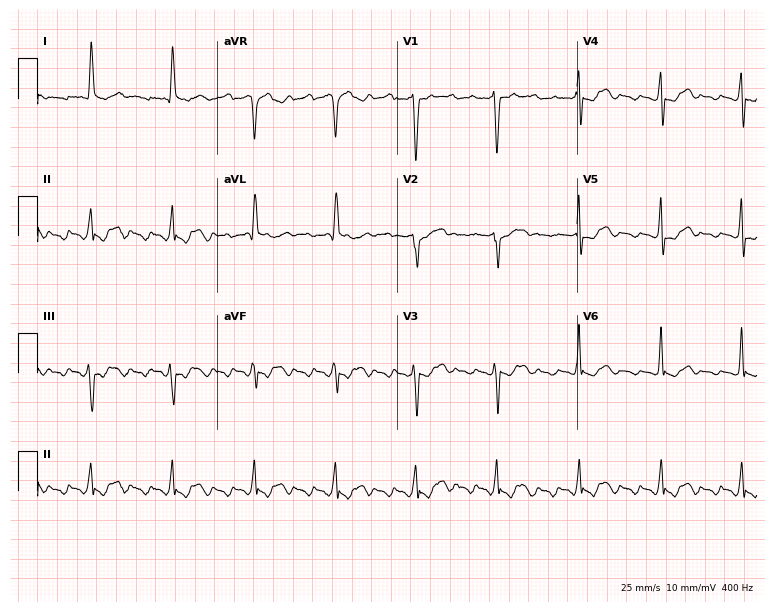
12-lead ECG (7.3-second recording at 400 Hz) from a woman, 76 years old. Screened for six findings — first-degree AV block, right bundle branch block, left bundle branch block, sinus bradycardia, atrial fibrillation, sinus tachycardia — none is recorded. Only these six findings were labelled.